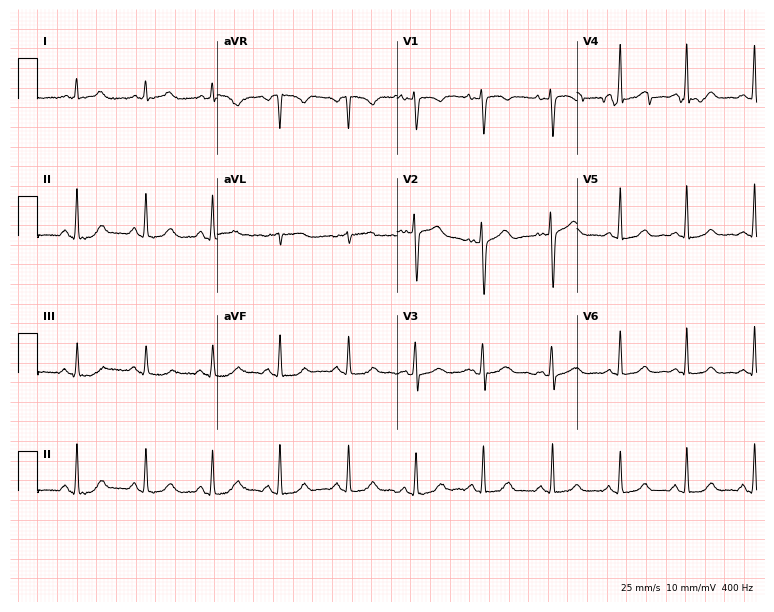
12-lead ECG from a female, 47 years old. Screened for six findings — first-degree AV block, right bundle branch block, left bundle branch block, sinus bradycardia, atrial fibrillation, sinus tachycardia — none is recorded.